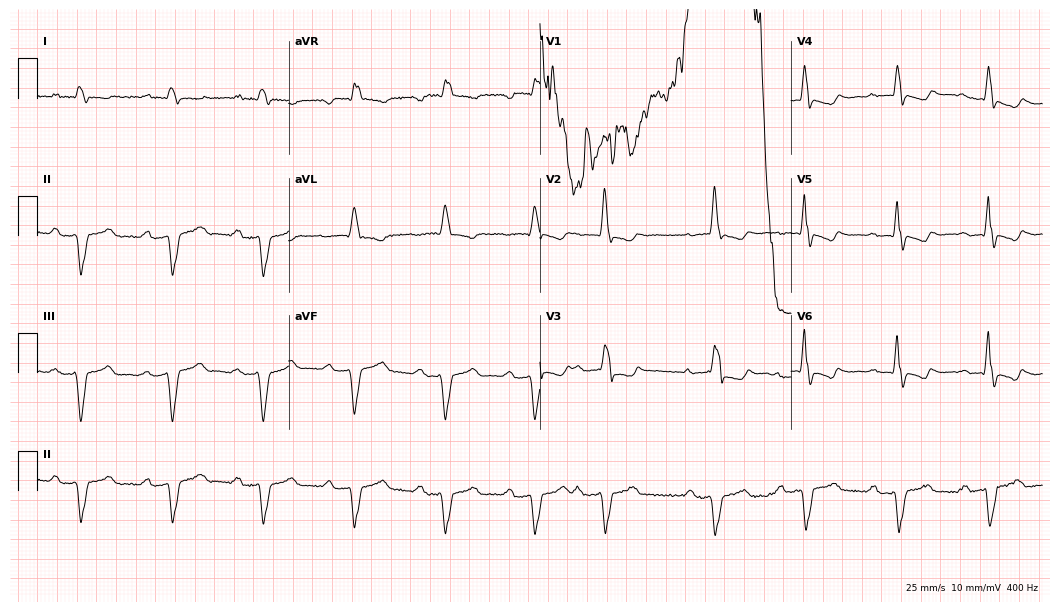
Electrocardiogram, a male, 71 years old. Interpretation includes atrial fibrillation (AF).